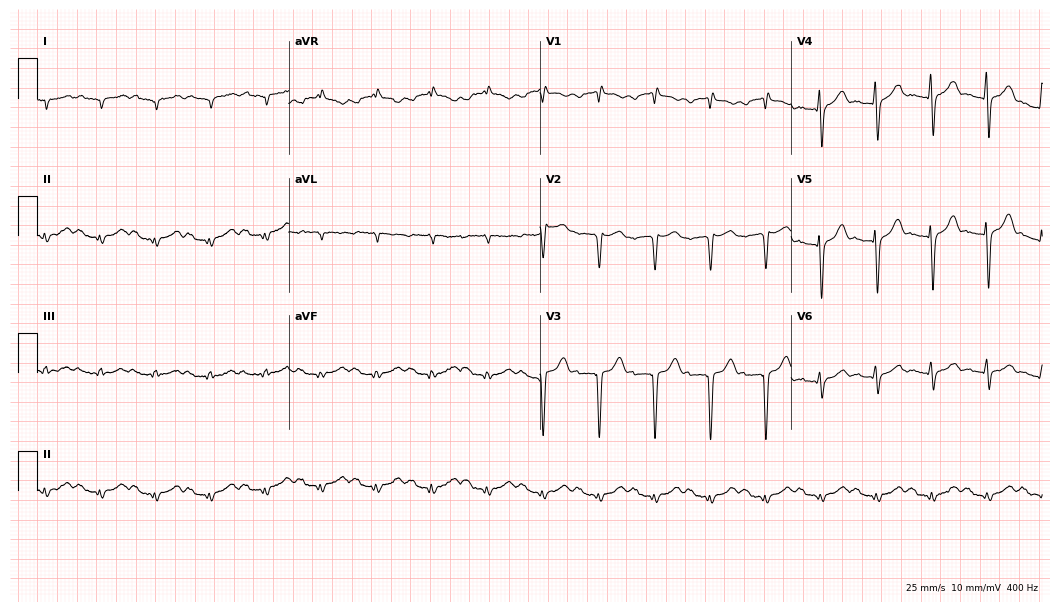
Electrocardiogram, a 54-year-old man. Of the six screened findings (first-degree AV block, right bundle branch block, left bundle branch block, sinus bradycardia, atrial fibrillation, sinus tachycardia), none is recorded.